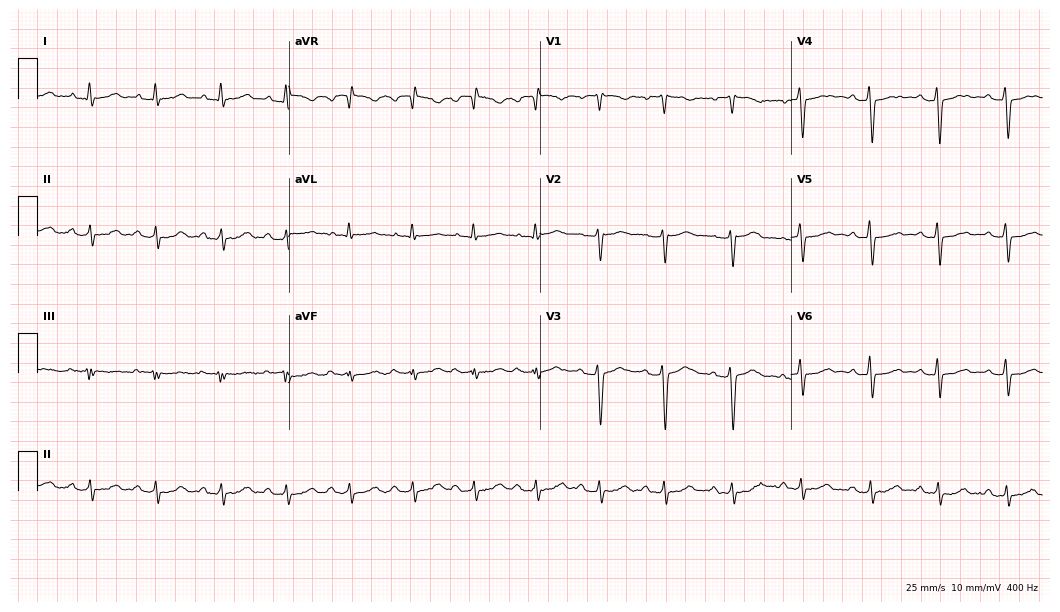
Electrocardiogram, a 47-year-old female. Of the six screened findings (first-degree AV block, right bundle branch block, left bundle branch block, sinus bradycardia, atrial fibrillation, sinus tachycardia), none is recorded.